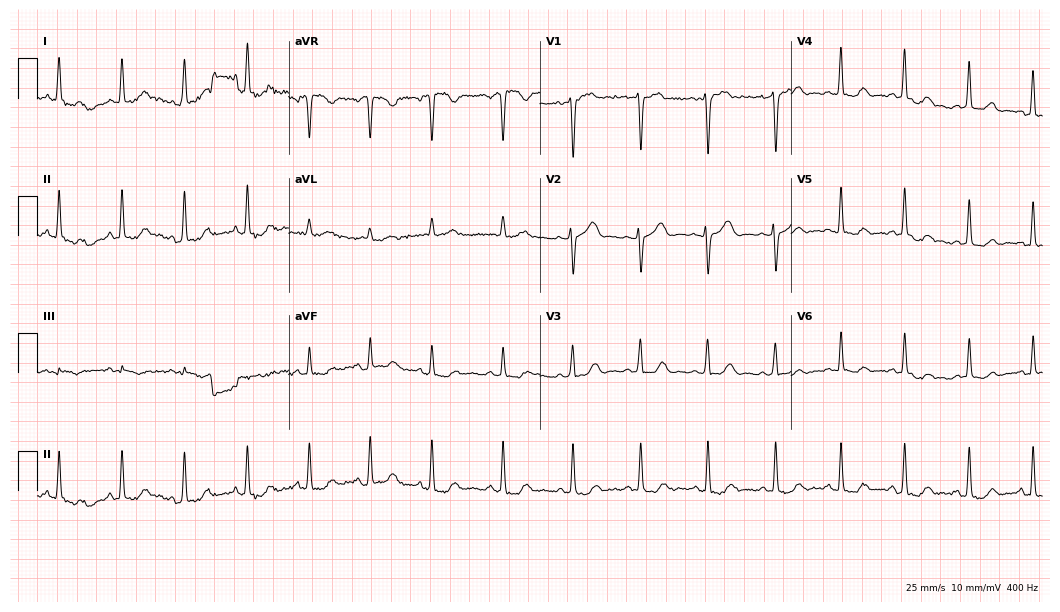
12-lead ECG from a female patient, 42 years old (10.2-second recording at 400 Hz). Recorded interpretation: within normal limits.